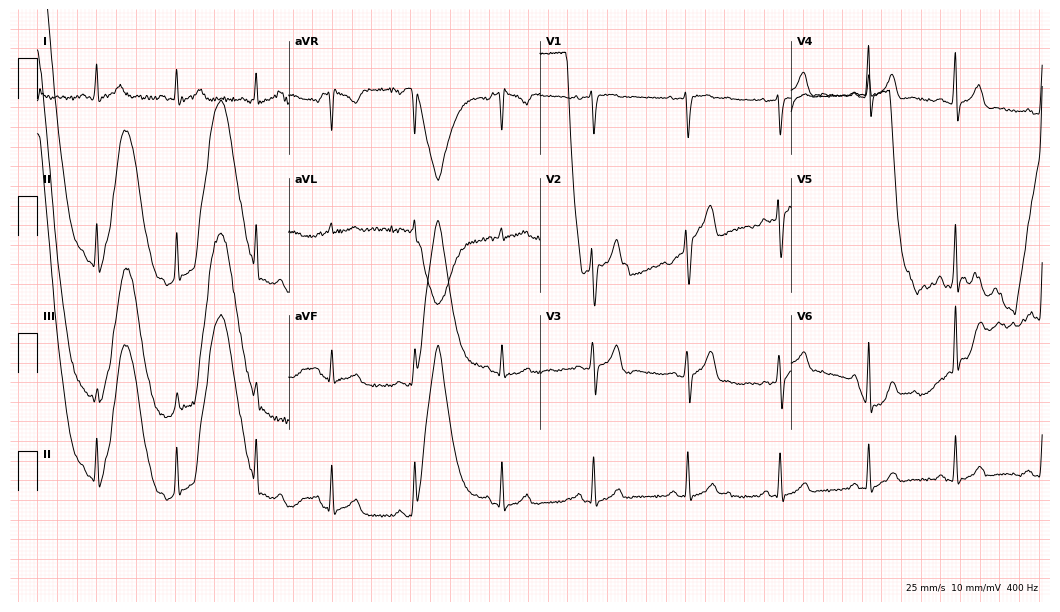
Standard 12-lead ECG recorded from a 42-year-old male patient (10.2-second recording at 400 Hz). Read as a normal ECG.